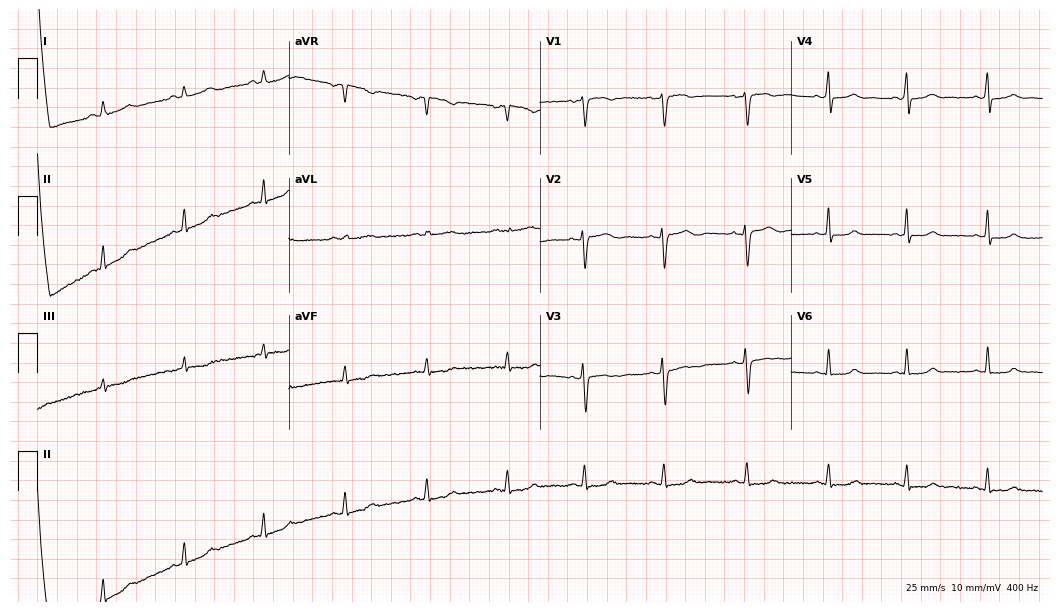
12-lead ECG from a 30-year-old female. Recorded interpretation: within normal limits.